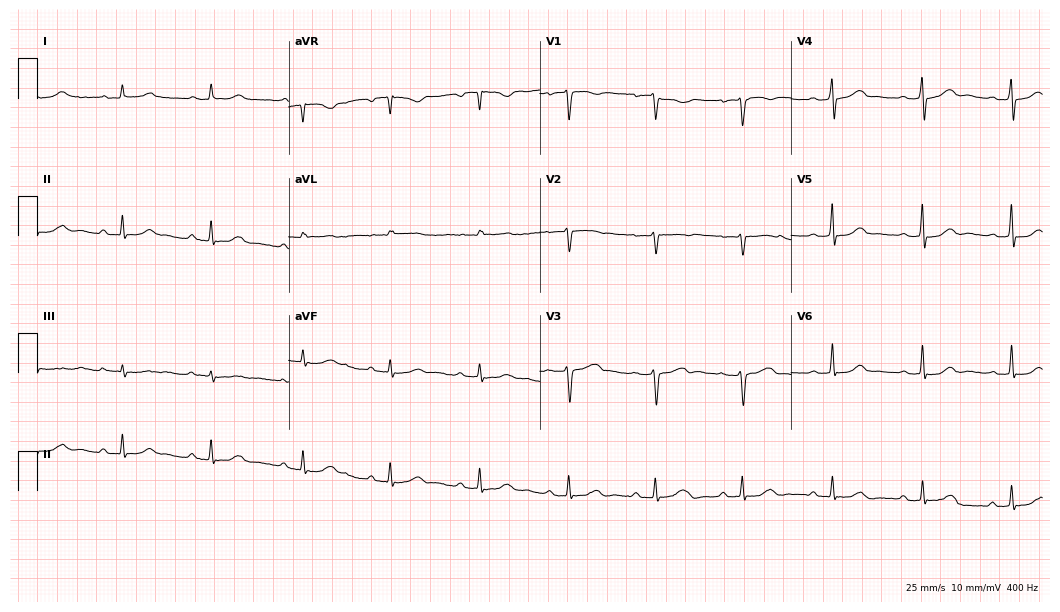
Standard 12-lead ECG recorded from a 36-year-old woman. Read as a normal ECG.